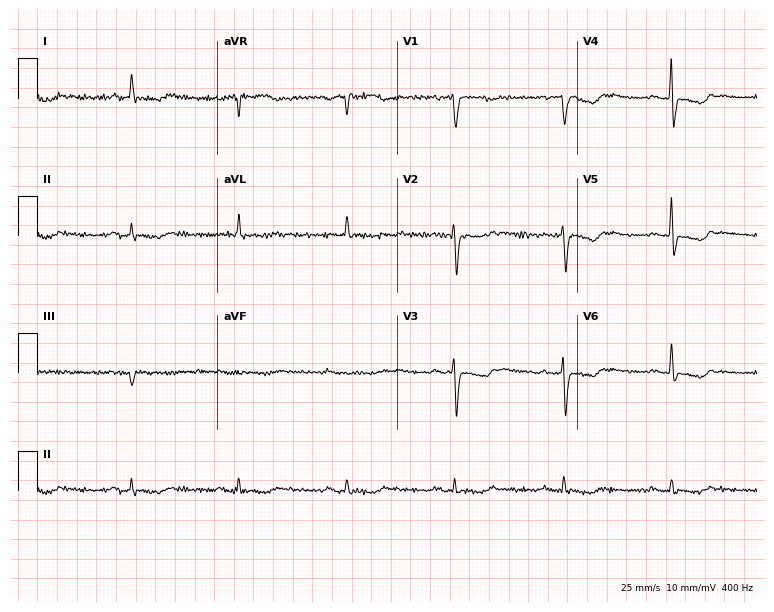
Resting 12-lead electrocardiogram (7.3-second recording at 400 Hz). Patient: a female, 67 years old. None of these six findings is recorded: first-degree AV block, right bundle branch block (RBBB), left bundle branch block (LBBB), sinus bradycardia, atrial fibrillation (AF), sinus tachycardia. Other findings, if any, are not listed.